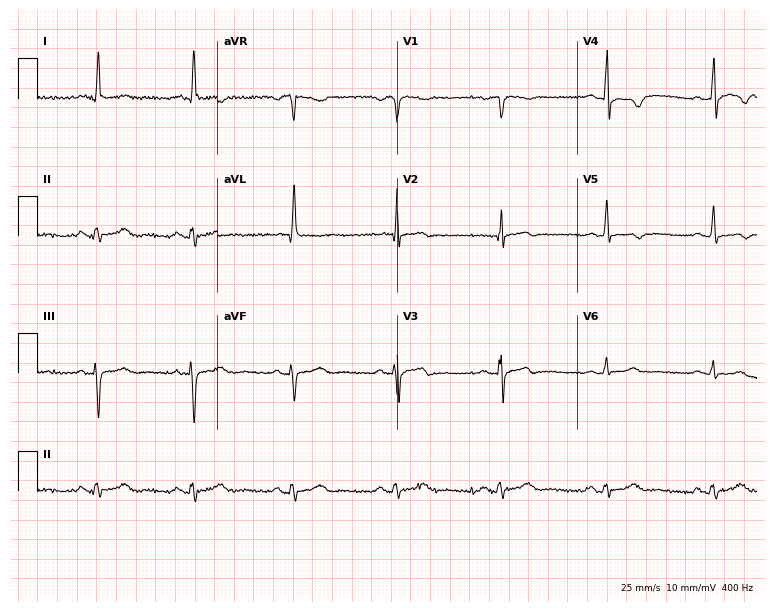
Electrocardiogram, a male patient, 76 years old. Of the six screened findings (first-degree AV block, right bundle branch block, left bundle branch block, sinus bradycardia, atrial fibrillation, sinus tachycardia), none is recorded. Findings outside these six are not listed.